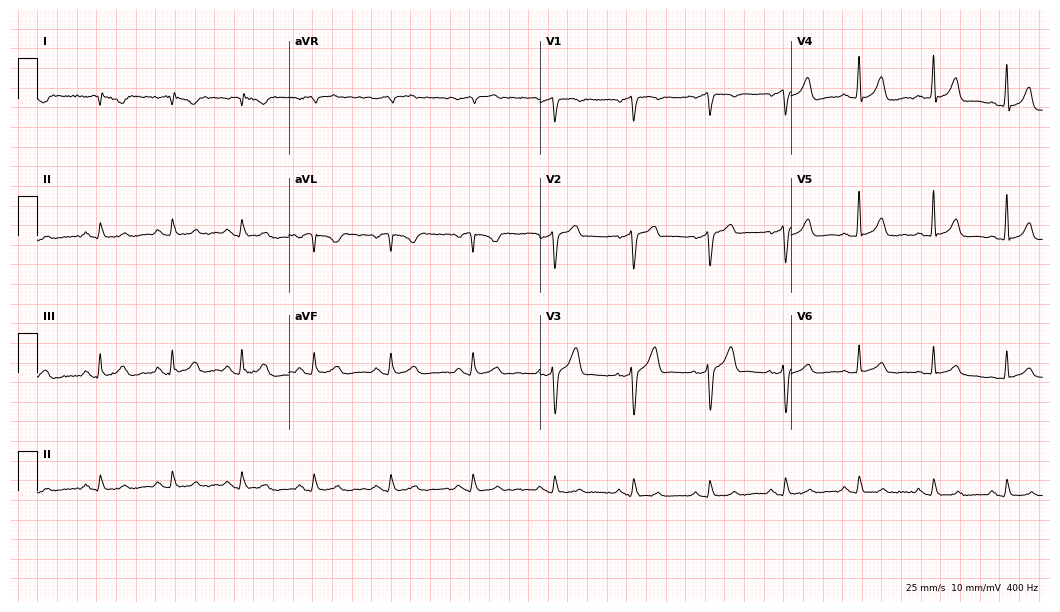
Electrocardiogram (10.2-second recording at 400 Hz), a 44-year-old male patient. Overall reading on record: normal ECG.